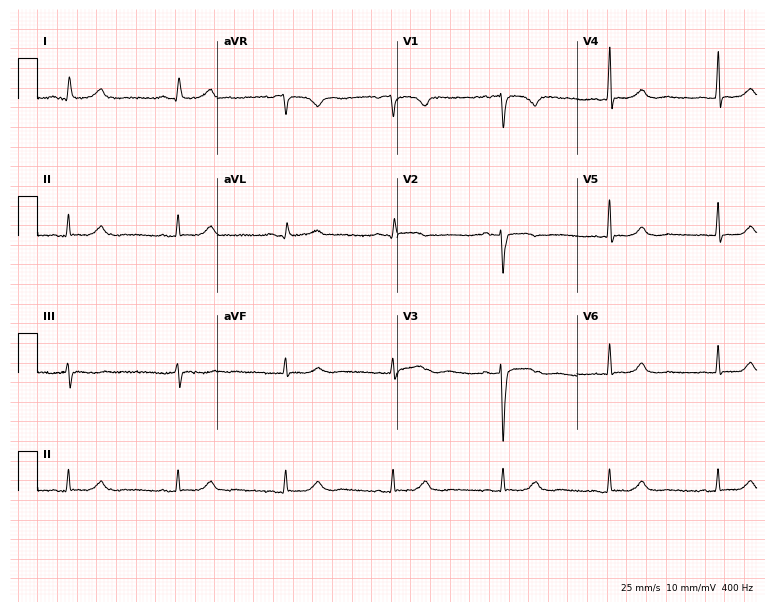
Resting 12-lead electrocardiogram (7.3-second recording at 400 Hz). Patient: a female, 52 years old. None of these six findings is recorded: first-degree AV block, right bundle branch block, left bundle branch block, sinus bradycardia, atrial fibrillation, sinus tachycardia.